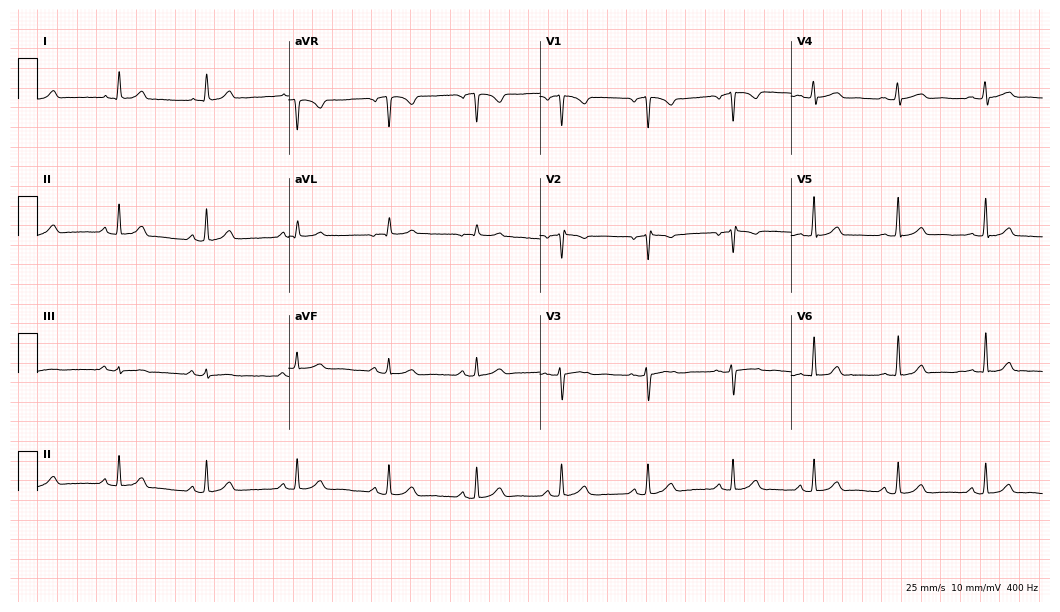
Standard 12-lead ECG recorded from a female patient, 50 years old. Read as a normal ECG.